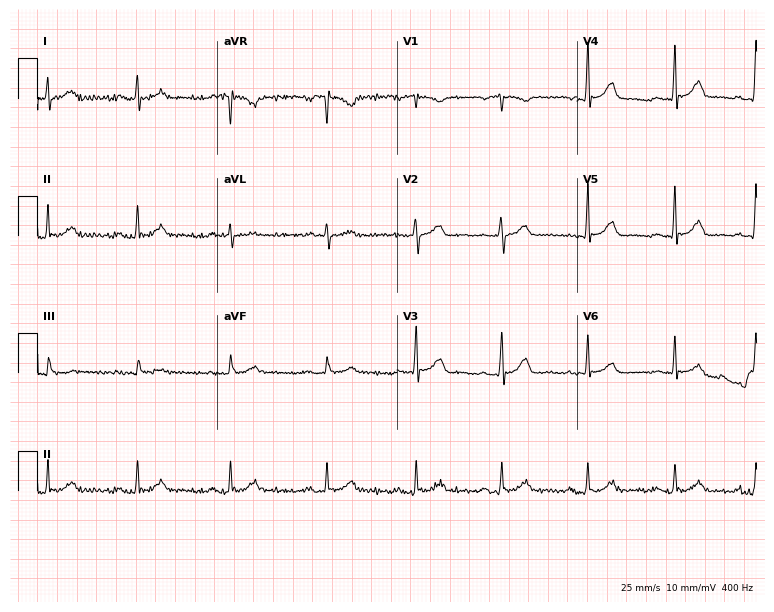
Standard 12-lead ECG recorded from a woman, 64 years old (7.3-second recording at 400 Hz). Read as a normal ECG.